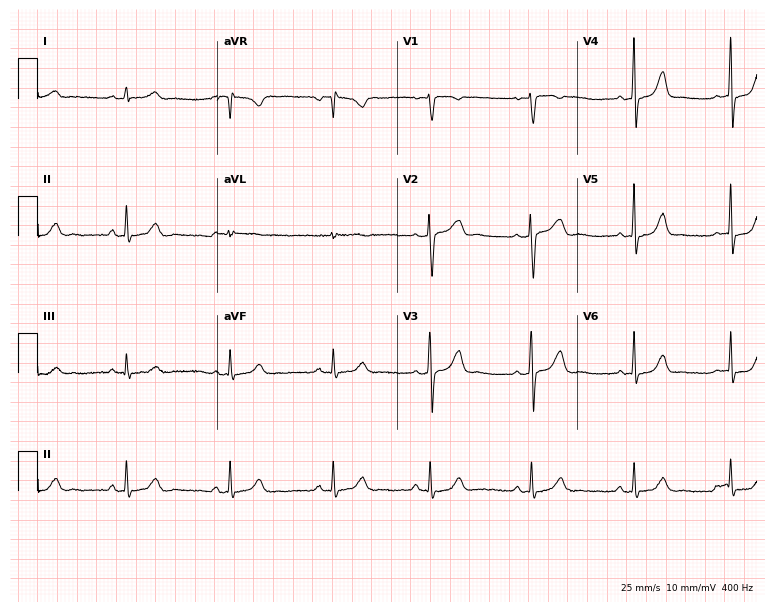
12-lead ECG (7.3-second recording at 400 Hz) from a 31-year-old woman. Labelled as a normal ECG.